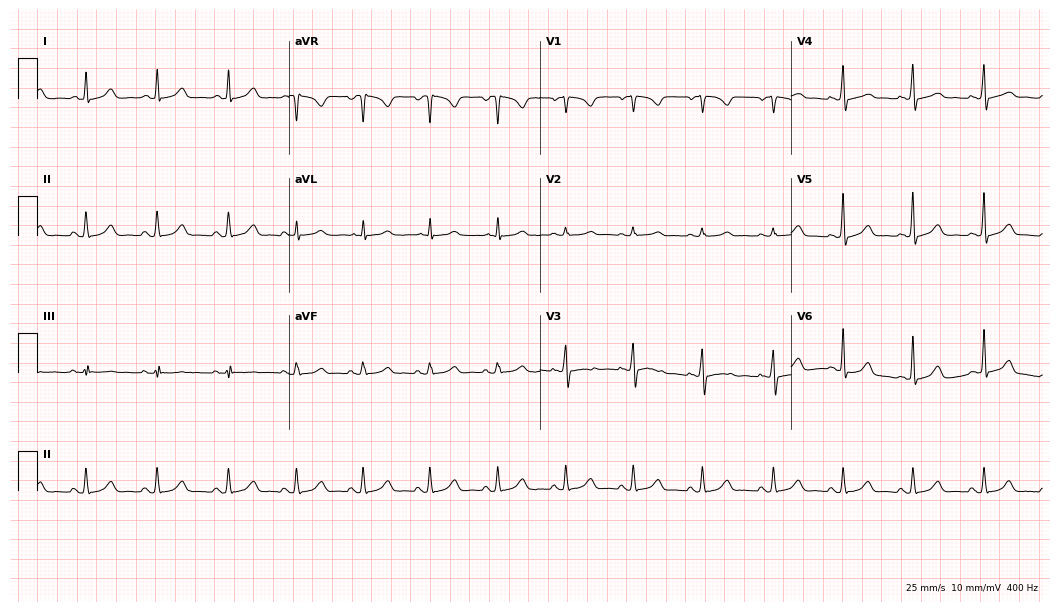
Electrocardiogram (10.2-second recording at 400 Hz), a female patient, 33 years old. Overall reading on record: normal ECG.